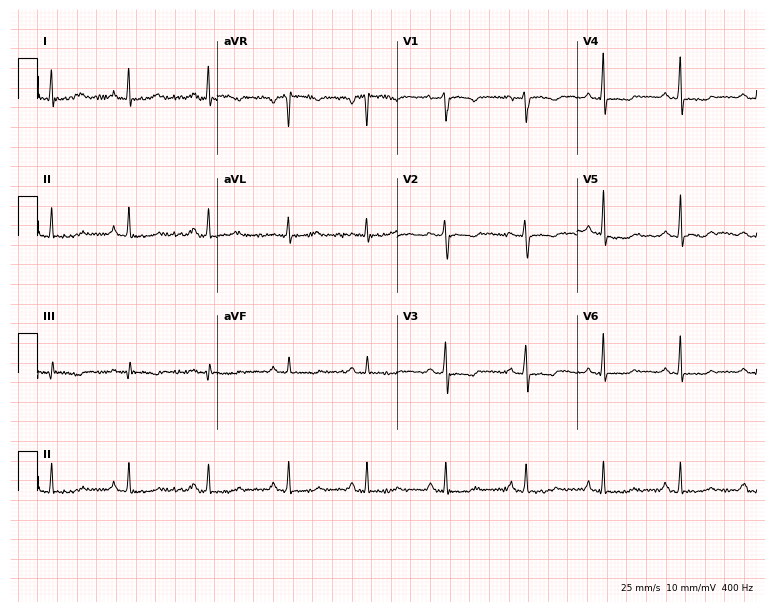
12-lead ECG (7.3-second recording at 400 Hz) from a female, 53 years old. Labelled as a normal ECG.